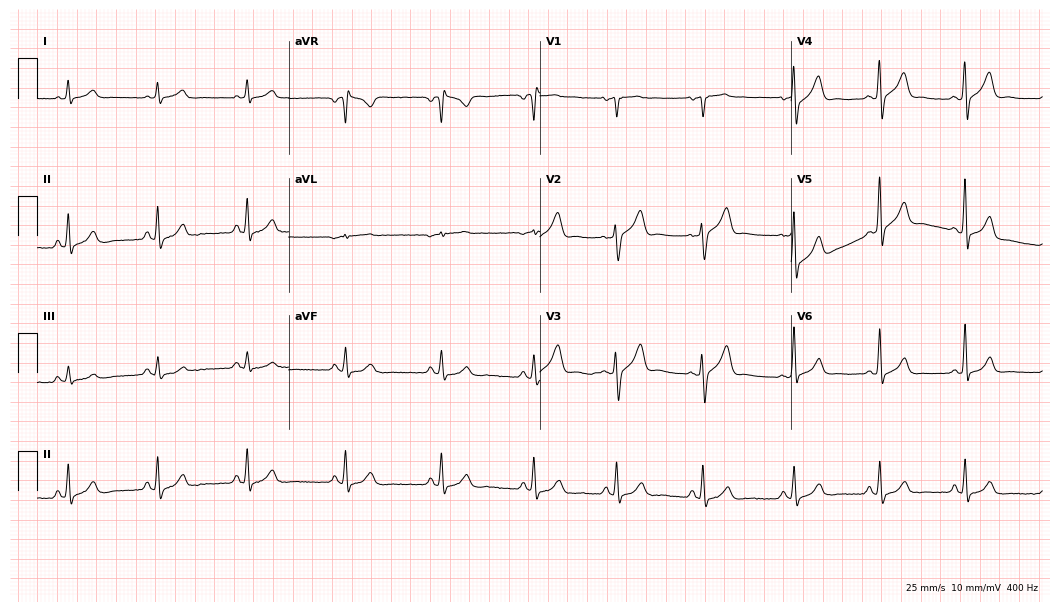
12-lead ECG (10.2-second recording at 400 Hz) from a male patient, 49 years old. Labelled as a normal ECG.